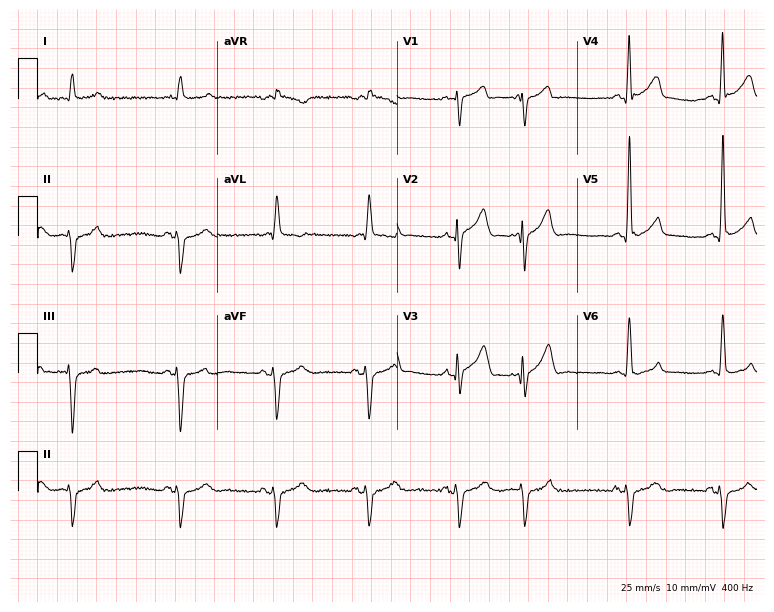
Standard 12-lead ECG recorded from a man, 67 years old. None of these six findings is recorded: first-degree AV block, right bundle branch block (RBBB), left bundle branch block (LBBB), sinus bradycardia, atrial fibrillation (AF), sinus tachycardia.